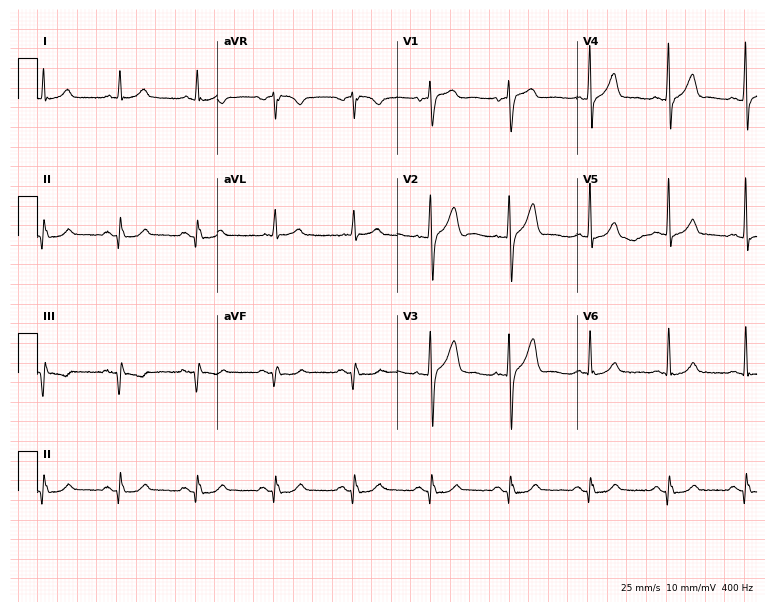
12-lead ECG (7.3-second recording at 400 Hz) from a 63-year-old male. Screened for six findings — first-degree AV block, right bundle branch block (RBBB), left bundle branch block (LBBB), sinus bradycardia, atrial fibrillation (AF), sinus tachycardia — none is recorded.